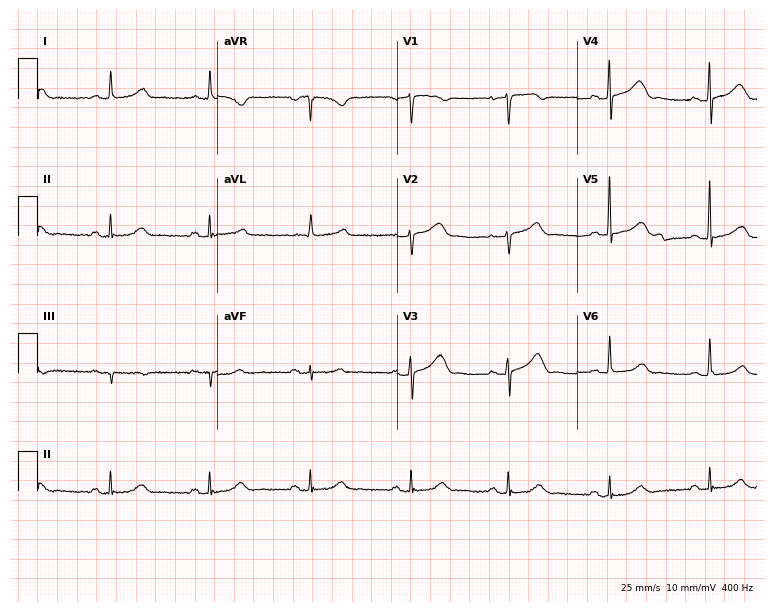
Standard 12-lead ECG recorded from a female patient, 72 years old. None of these six findings is recorded: first-degree AV block, right bundle branch block (RBBB), left bundle branch block (LBBB), sinus bradycardia, atrial fibrillation (AF), sinus tachycardia. Only these six findings were labelled.